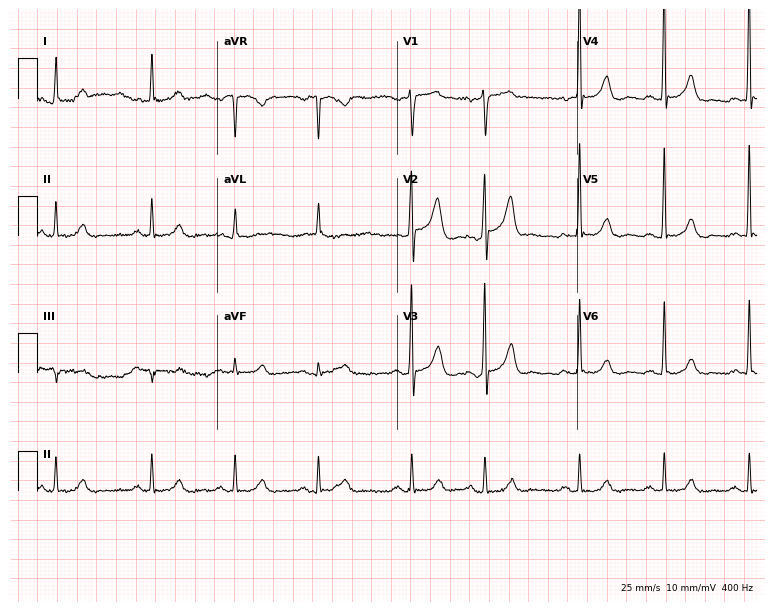
ECG (7.3-second recording at 400 Hz) — a man, 79 years old. Labelled as a normal ECG.